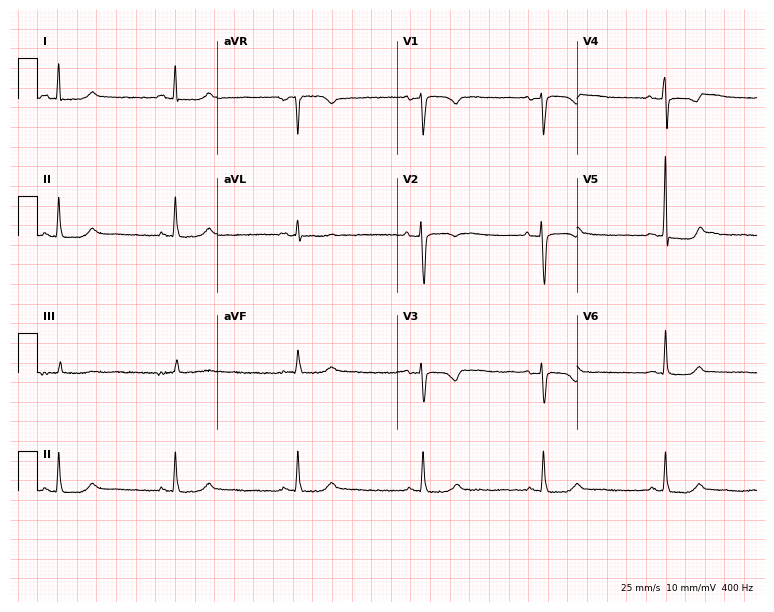
Electrocardiogram, a female, 57 years old. Interpretation includes sinus bradycardia (a sinus rate of 50 beats per minute or less).